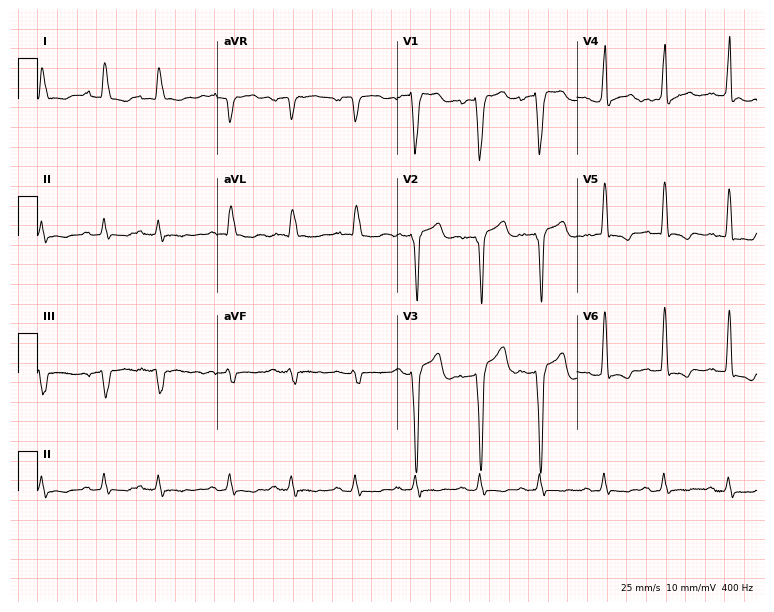
12-lead ECG from a 74-year-old male patient. No first-degree AV block, right bundle branch block (RBBB), left bundle branch block (LBBB), sinus bradycardia, atrial fibrillation (AF) or sinus tachycardia recorded for this tracing.